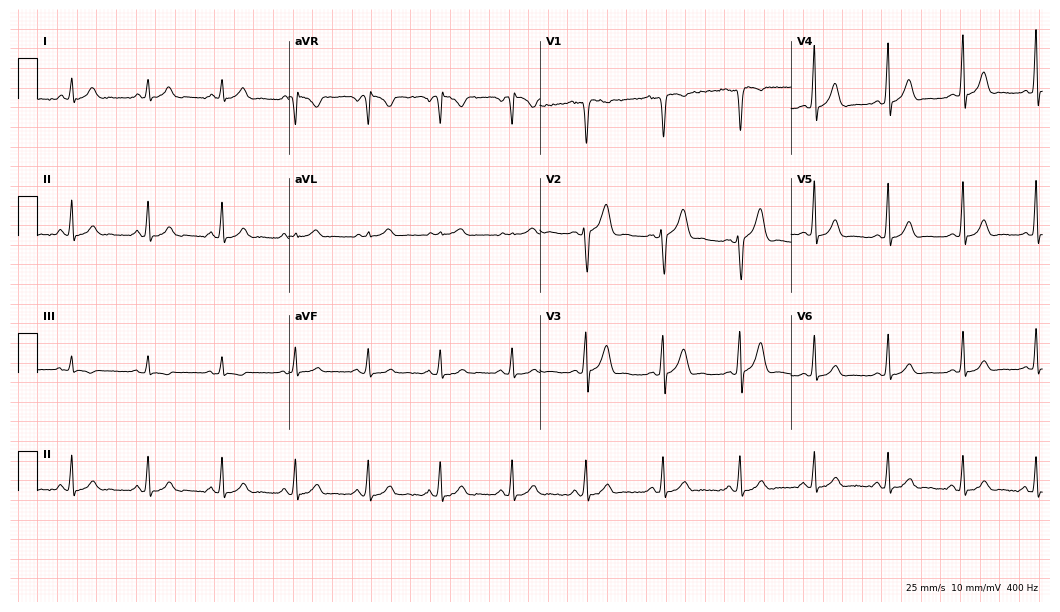
12-lead ECG from a 25-year-old man (10.2-second recording at 400 Hz). Recorded interpretation: within normal limits.